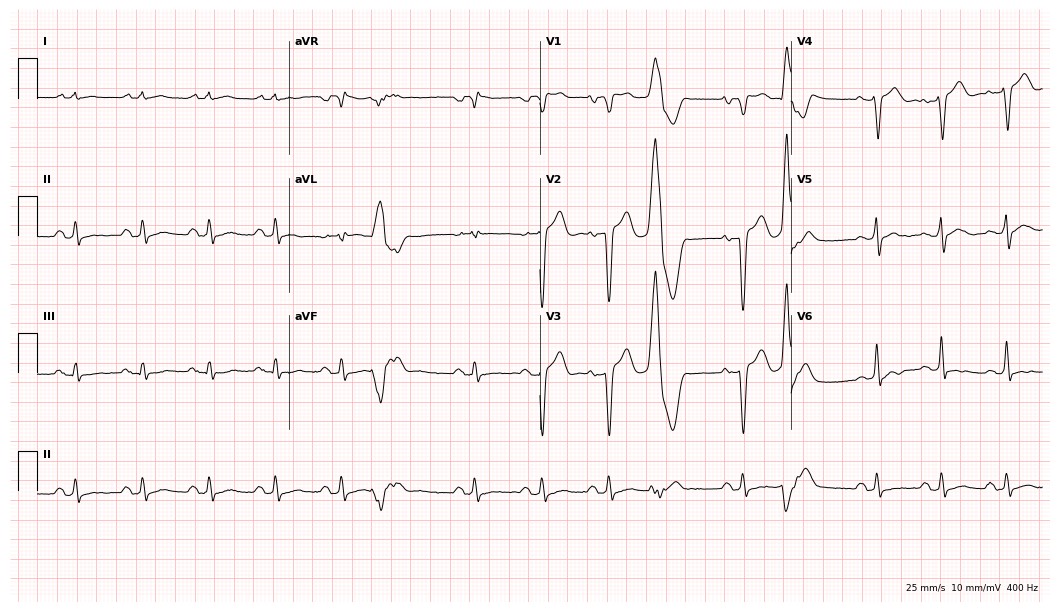
12-lead ECG from a male, 69 years old. No first-degree AV block, right bundle branch block, left bundle branch block, sinus bradycardia, atrial fibrillation or sinus tachycardia recorded for this tracing. Findings outside these six are not listed.